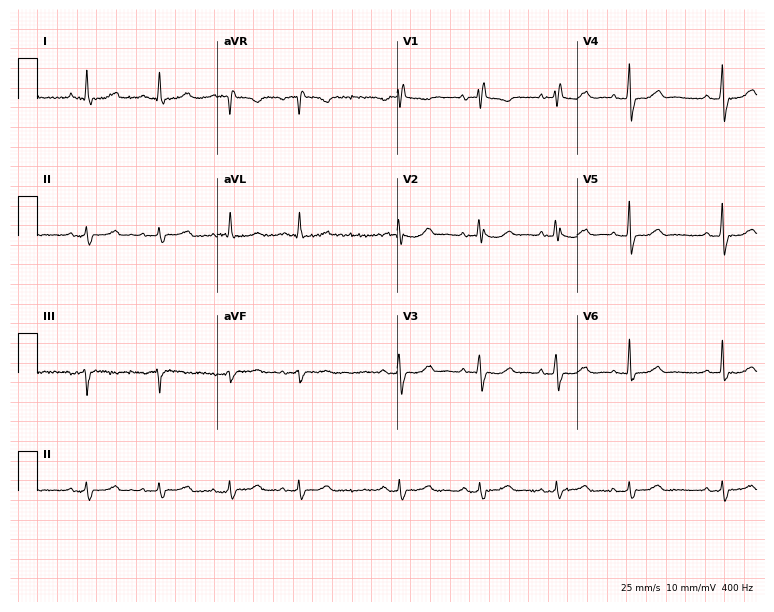
Standard 12-lead ECG recorded from a female patient, 80 years old (7.3-second recording at 400 Hz). None of these six findings is recorded: first-degree AV block, right bundle branch block, left bundle branch block, sinus bradycardia, atrial fibrillation, sinus tachycardia.